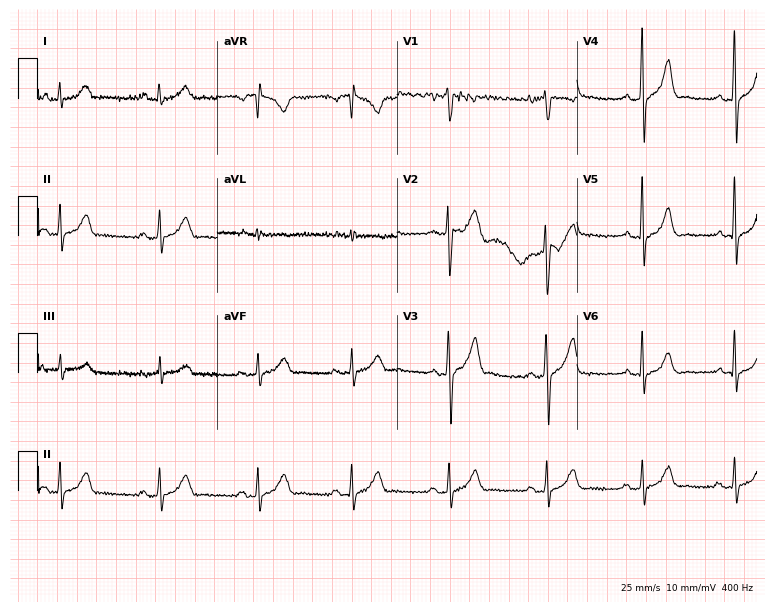
Standard 12-lead ECG recorded from a male patient, 33 years old. None of these six findings is recorded: first-degree AV block, right bundle branch block (RBBB), left bundle branch block (LBBB), sinus bradycardia, atrial fibrillation (AF), sinus tachycardia.